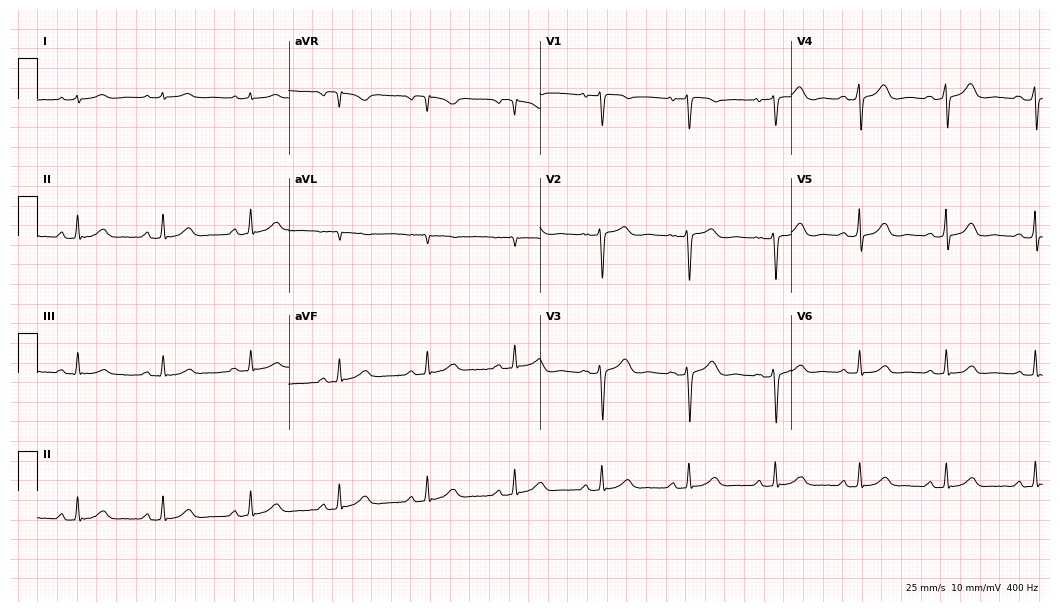
ECG (10.2-second recording at 400 Hz) — a 45-year-old woman. Labelled as a normal ECG.